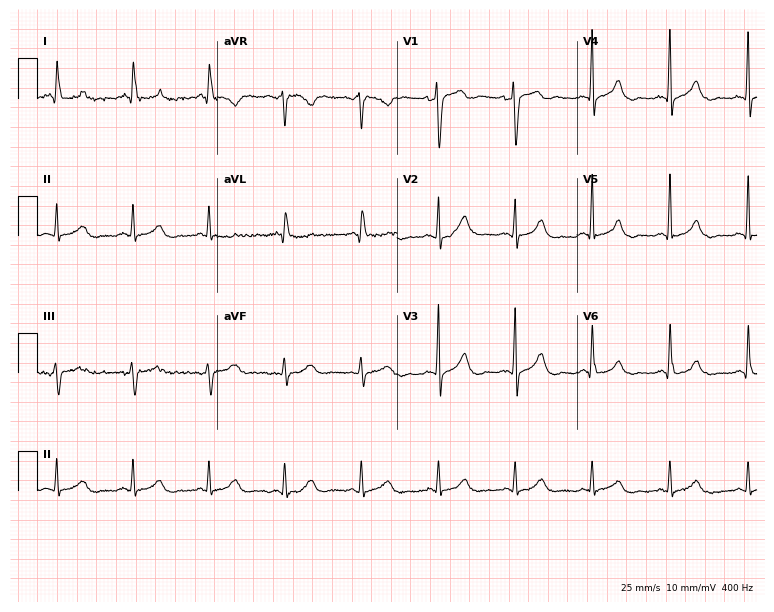
12-lead ECG (7.3-second recording at 400 Hz) from a 47-year-old male. Labelled as a normal ECG.